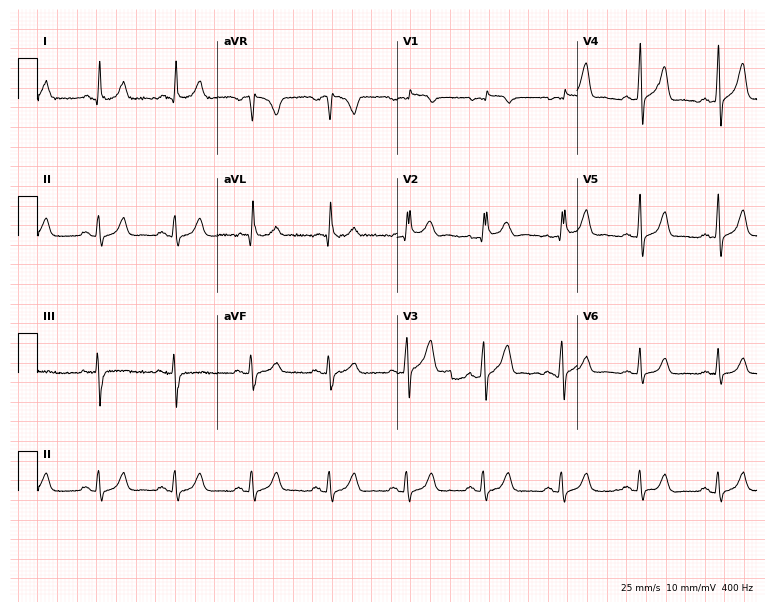
12-lead ECG from a male, 43 years old. No first-degree AV block, right bundle branch block, left bundle branch block, sinus bradycardia, atrial fibrillation or sinus tachycardia recorded for this tracing. Findings outside these six are not listed.